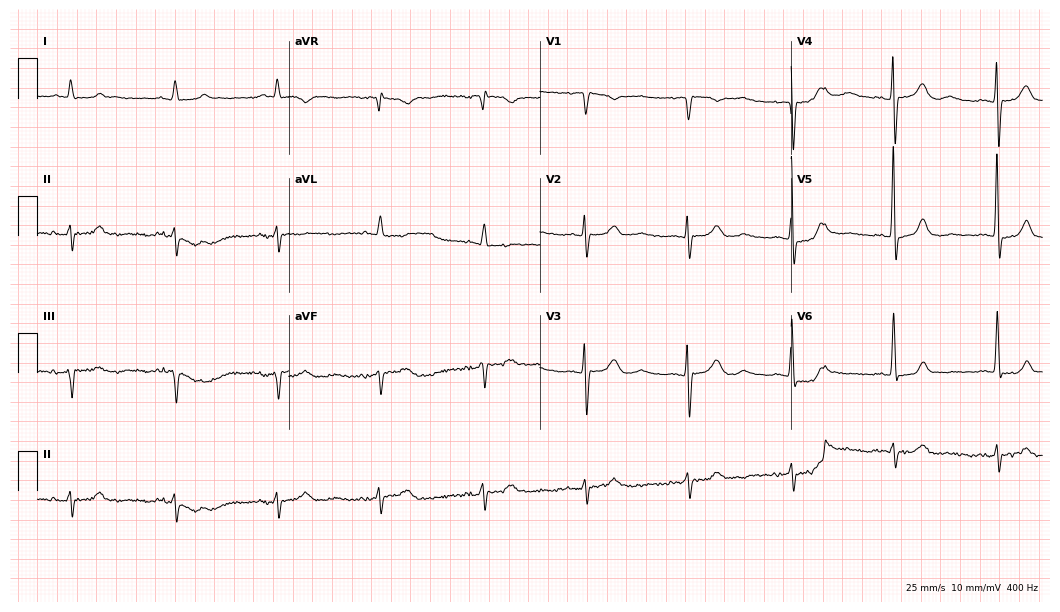
12-lead ECG from an 82-year-old female (10.2-second recording at 400 Hz). No first-degree AV block, right bundle branch block, left bundle branch block, sinus bradycardia, atrial fibrillation or sinus tachycardia recorded for this tracing.